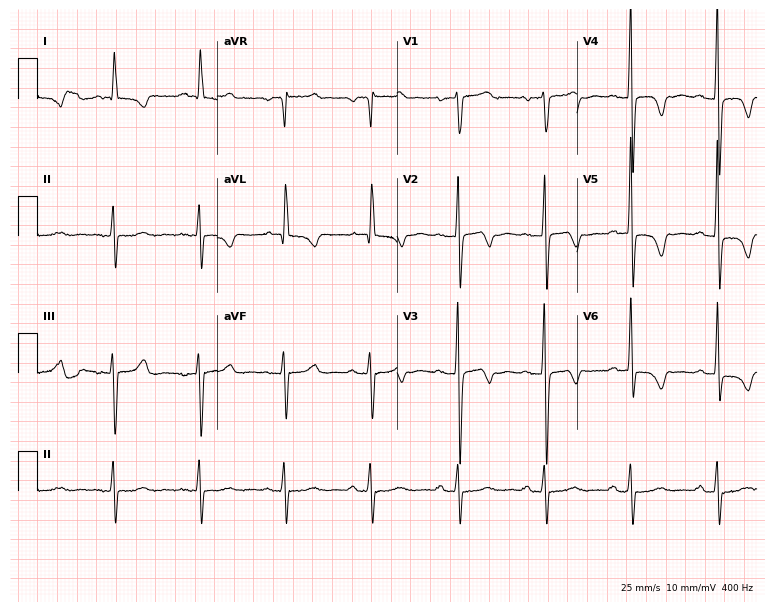
12-lead ECG from a 68-year-old female patient (7.3-second recording at 400 Hz). No first-degree AV block, right bundle branch block, left bundle branch block, sinus bradycardia, atrial fibrillation or sinus tachycardia recorded for this tracing.